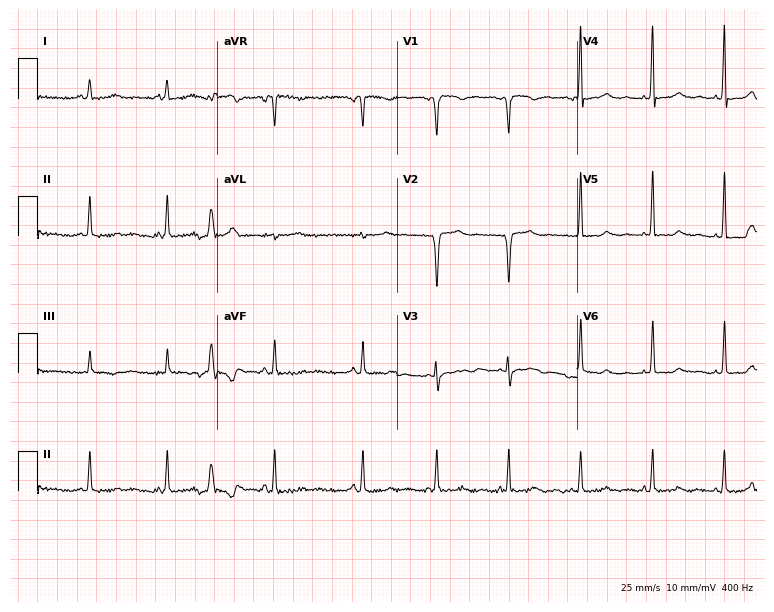
Standard 12-lead ECG recorded from a female patient, 44 years old (7.3-second recording at 400 Hz). None of these six findings is recorded: first-degree AV block, right bundle branch block, left bundle branch block, sinus bradycardia, atrial fibrillation, sinus tachycardia. Other findings, if any, are not listed.